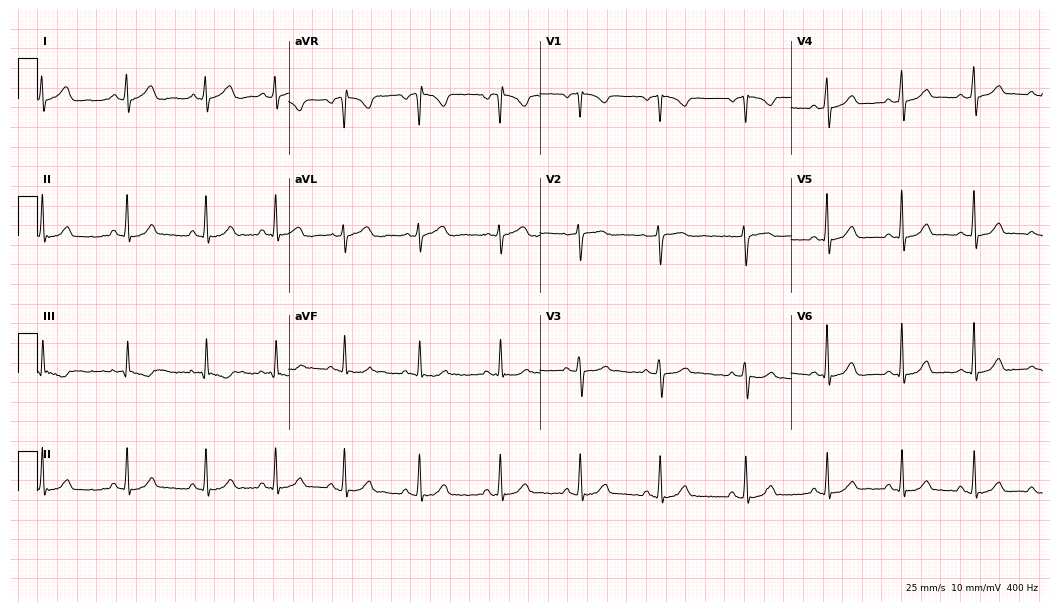
12-lead ECG (10.2-second recording at 400 Hz) from a woman, 28 years old. Screened for six findings — first-degree AV block, right bundle branch block, left bundle branch block, sinus bradycardia, atrial fibrillation, sinus tachycardia — none is recorded.